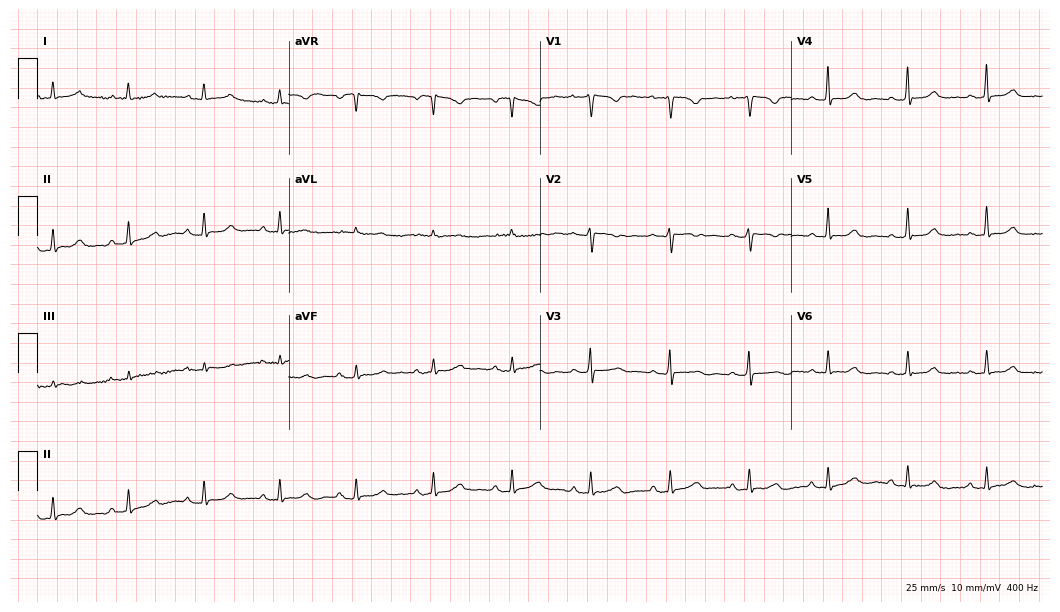
12-lead ECG (10.2-second recording at 400 Hz) from a 56-year-old female. Labelled as a normal ECG.